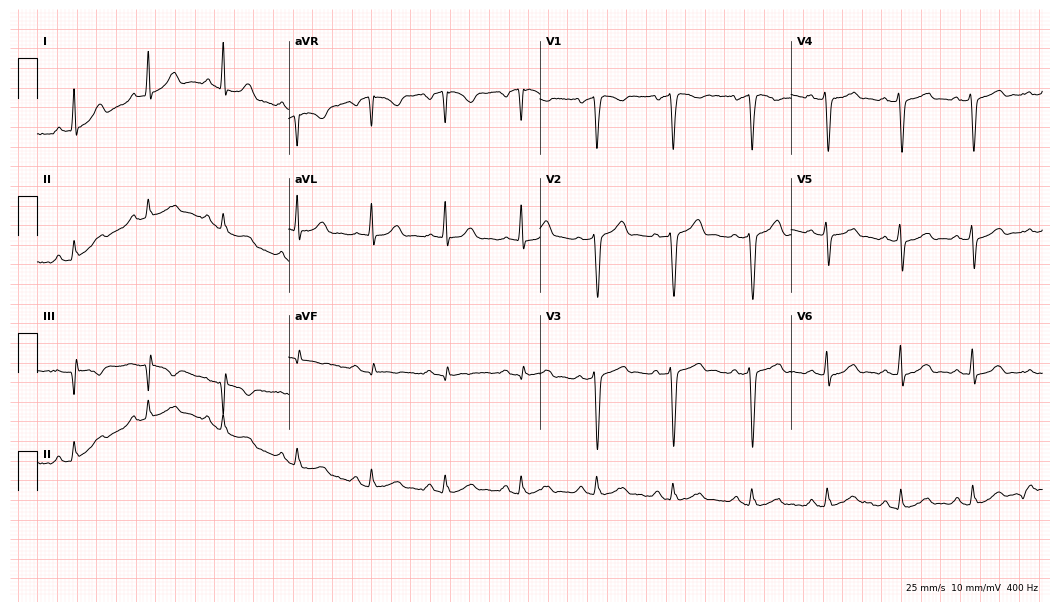
Resting 12-lead electrocardiogram. Patient: a male, 49 years old. Read as a normal ECG.